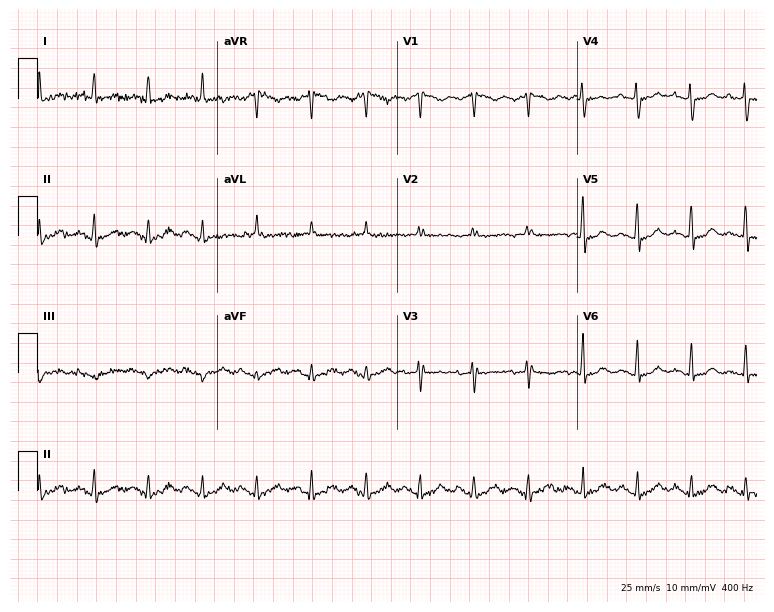
12-lead ECG from a 70-year-old female patient. No first-degree AV block, right bundle branch block, left bundle branch block, sinus bradycardia, atrial fibrillation or sinus tachycardia recorded for this tracing.